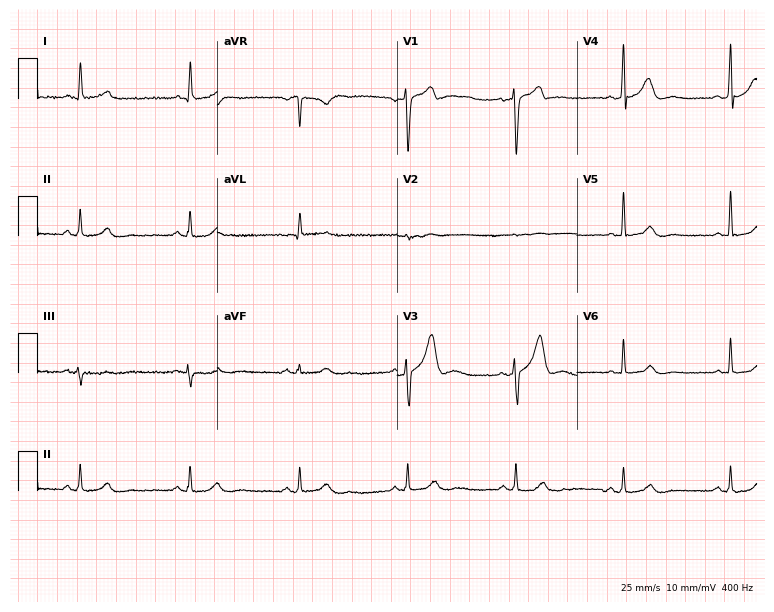
Standard 12-lead ECG recorded from a man, 63 years old (7.3-second recording at 400 Hz). Read as a normal ECG.